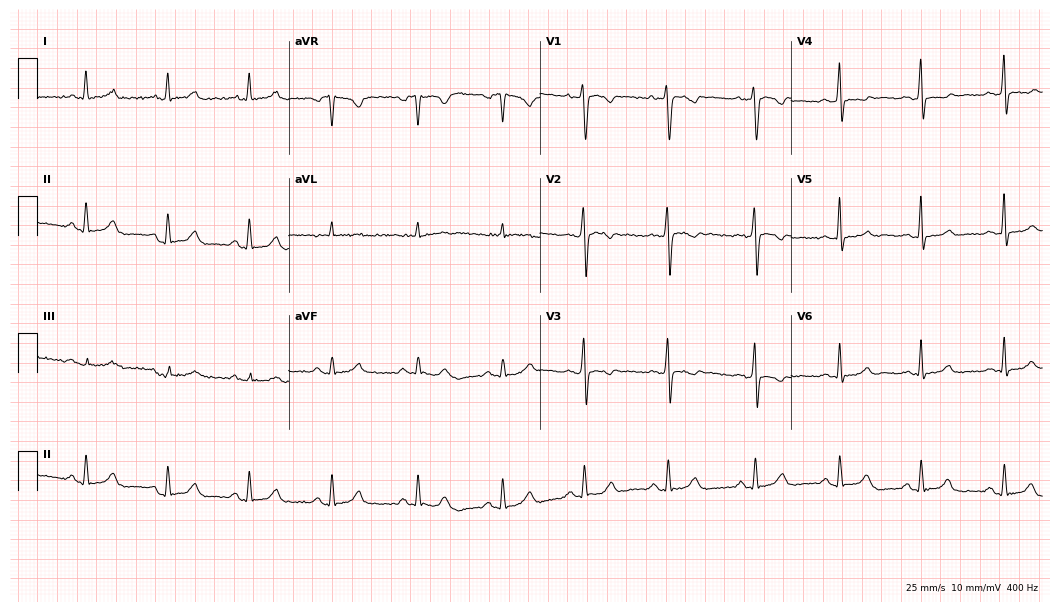
Standard 12-lead ECG recorded from a 29-year-old female patient (10.2-second recording at 400 Hz). None of these six findings is recorded: first-degree AV block, right bundle branch block, left bundle branch block, sinus bradycardia, atrial fibrillation, sinus tachycardia.